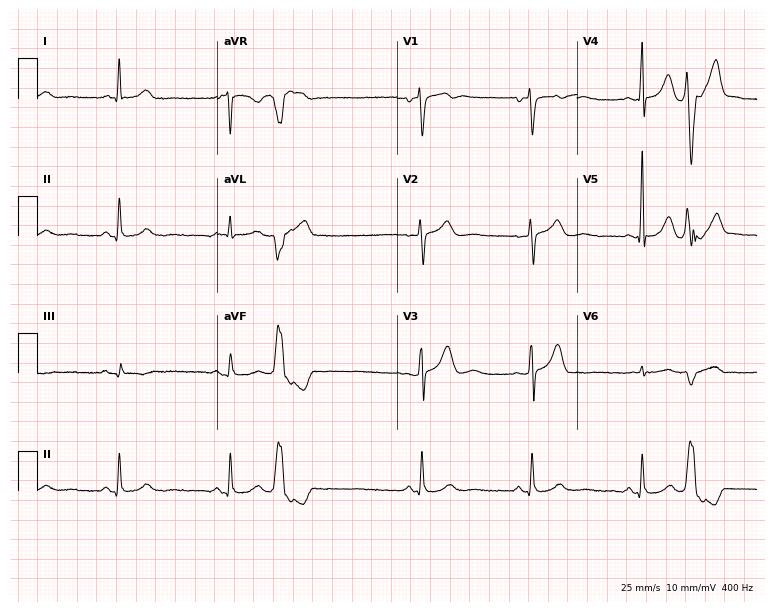
ECG (7.3-second recording at 400 Hz) — a male, 59 years old. Labelled as a normal ECG.